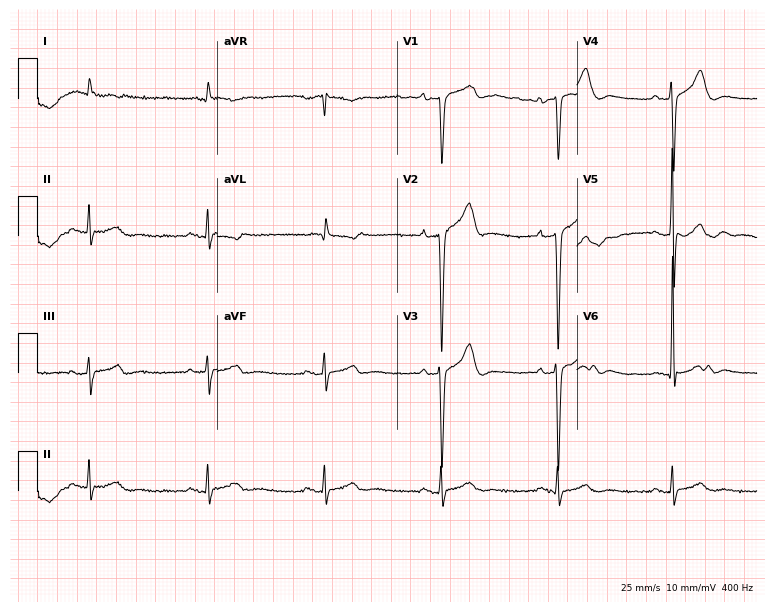
ECG (7.3-second recording at 400 Hz) — a 78-year-old male. Screened for six findings — first-degree AV block, right bundle branch block, left bundle branch block, sinus bradycardia, atrial fibrillation, sinus tachycardia — none is recorded.